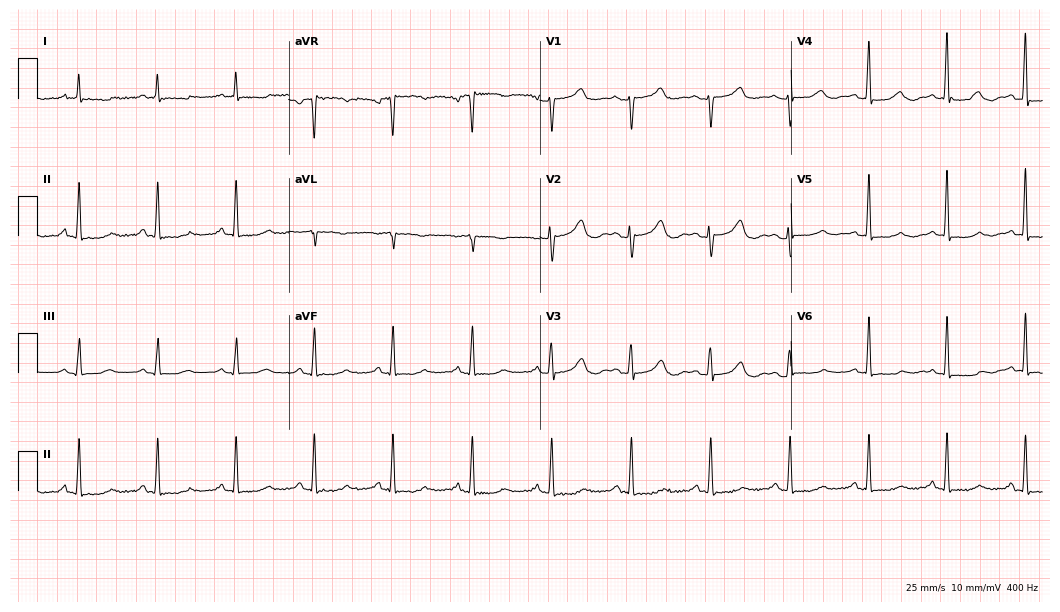
12-lead ECG from a female, 53 years old. No first-degree AV block, right bundle branch block, left bundle branch block, sinus bradycardia, atrial fibrillation or sinus tachycardia recorded for this tracing. Other findings, if any, are not listed.